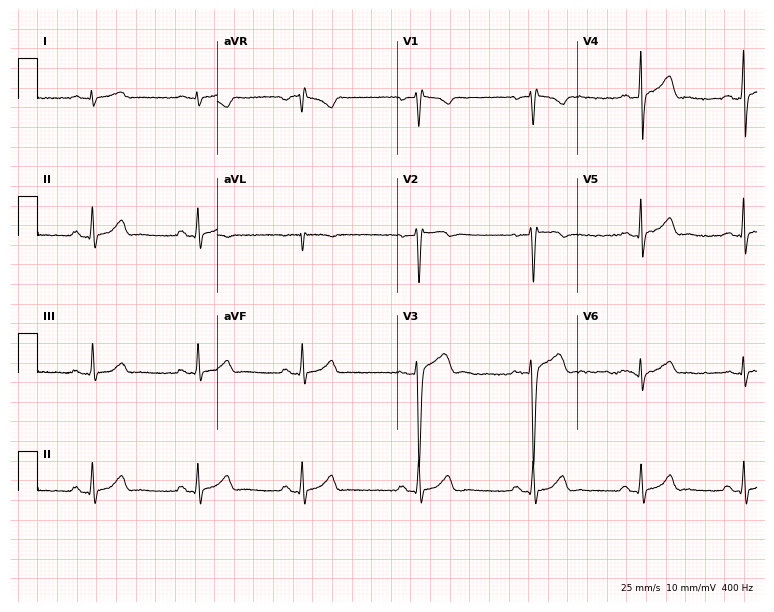
ECG (7.3-second recording at 400 Hz) — a 29-year-old male patient. Screened for six findings — first-degree AV block, right bundle branch block, left bundle branch block, sinus bradycardia, atrial fibrillation, sinus tachycardia — none is recorded.